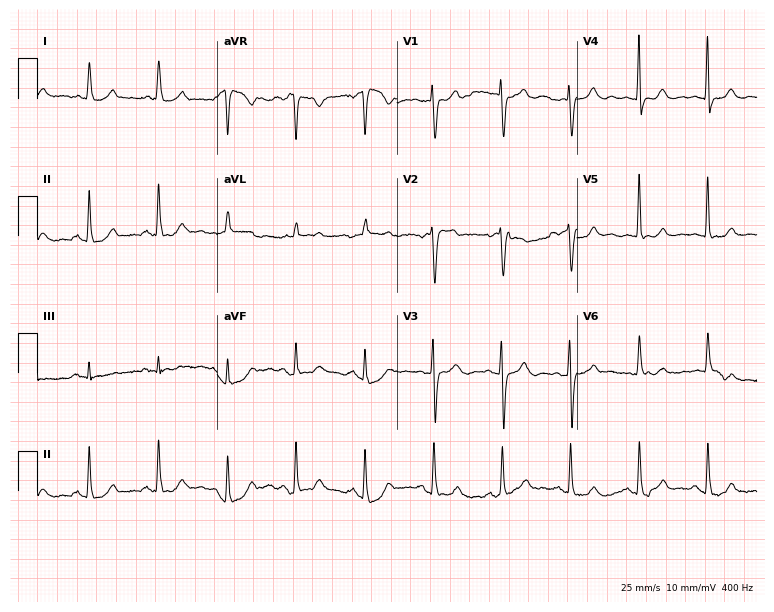
Resting 12-lead electrocardiogram. Patient: a 79-year-old female. Read as a normal ECG.